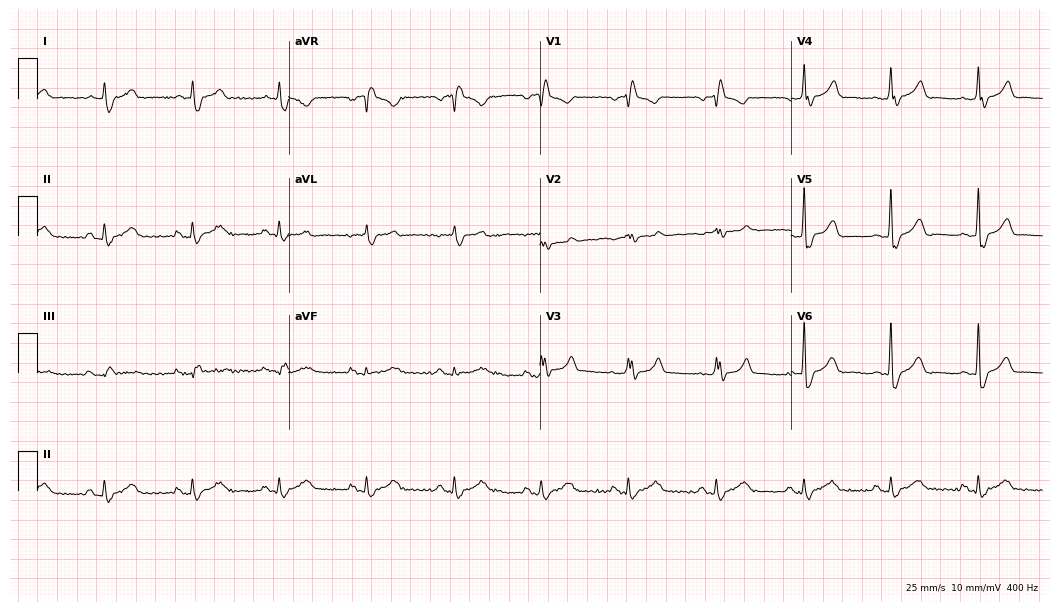
Electrocardiogram, a 71-year-old male. Of the six screened findings (first-degree AV block, right bundle branch block (RBBB), left bundle branch block (LBBB), sinus bradycardia, atrial fibrillation (AF), sinus tachycardia), none is recorded.